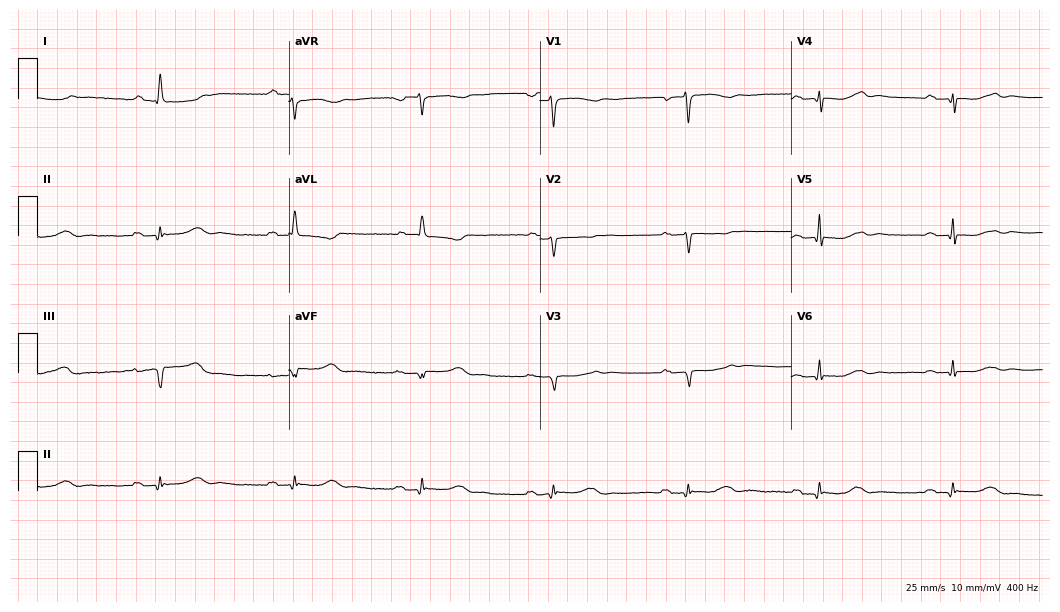
ECG (10.2-second recording at 400 Hz) — a female, 68 years old. Findings include first-degree AV block, sinus bradycardia (a sinus rate of 50 beats per minute or less).